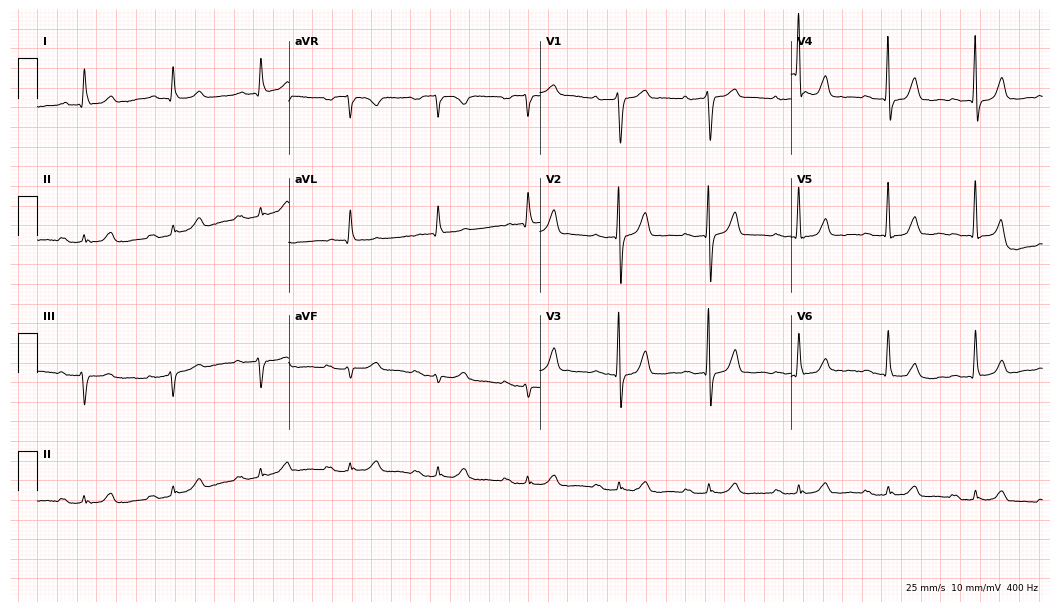
12-lead ECG (10.2-second recording at 400 Hz) from a male, 80 years old. Screened for six findings — first-degree AV block, right bundle branch block, left bundle branch block, sinus bradycardia, atrial fibrillation, sinus tachycardia — none is recorded.